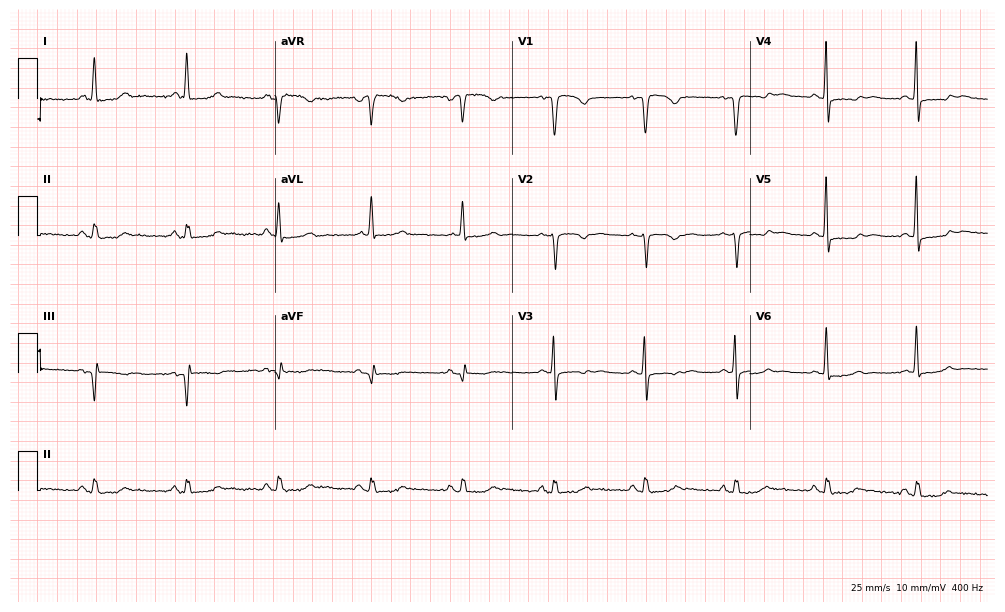
Resting 12-lead electrocardiogram (9.7-second recording at 400 Hz). Patient: a 72-year-old female. None of these six findings is recorded: first-degree AV block, right bundle branch block, left bundle branch block, sinus bradycardia, atrial fibrillation, sinus tachycardia.